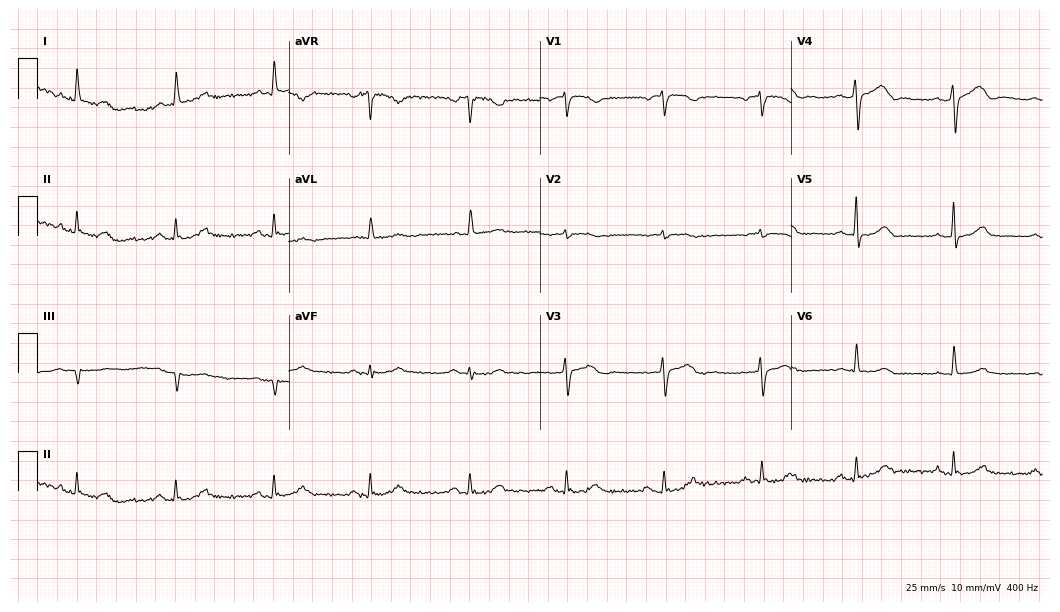
ECG — a woman, 71 years old. Labelled as a normal ECG.